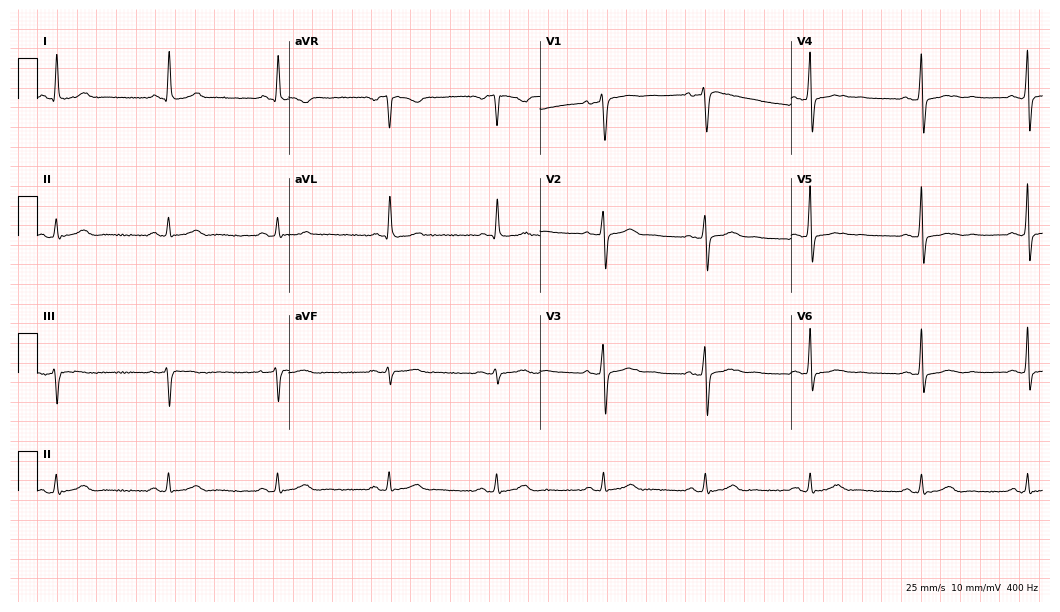
Resting 12-lead electrocardiogram. Patient: a 33-year-old female. None of these six findings is recorded: first-degree AV block, right bundle branch block, left bundle branch block, sinus bradycardia, atrial fibrillation, sinus tachycardia.